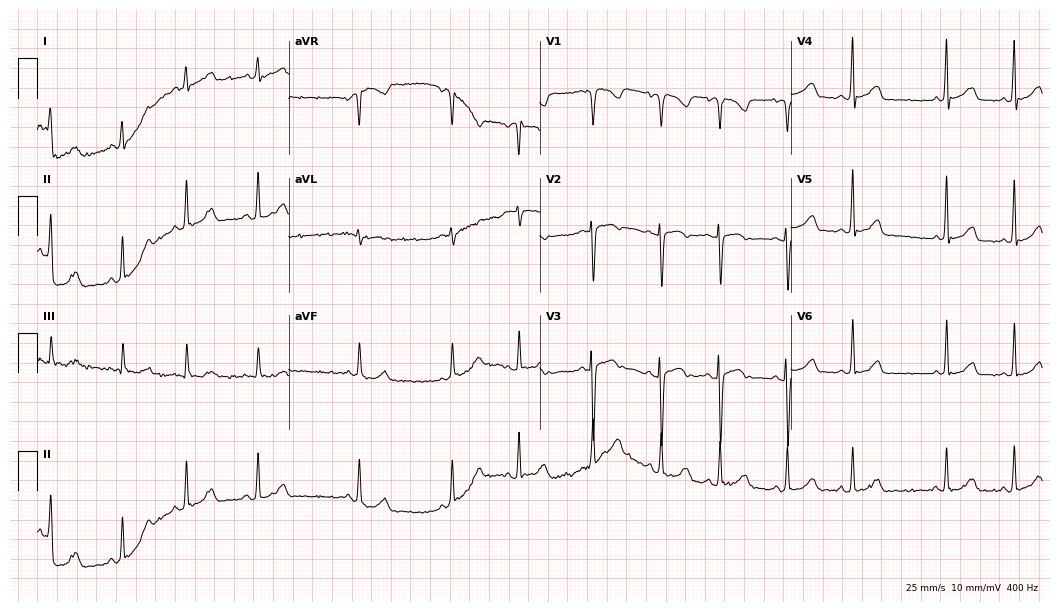
Resting 12-lead electrocardiogram (10.2-second recording at 400 Hz). Patient: an 18-year-old man. Read as a normal ECG.